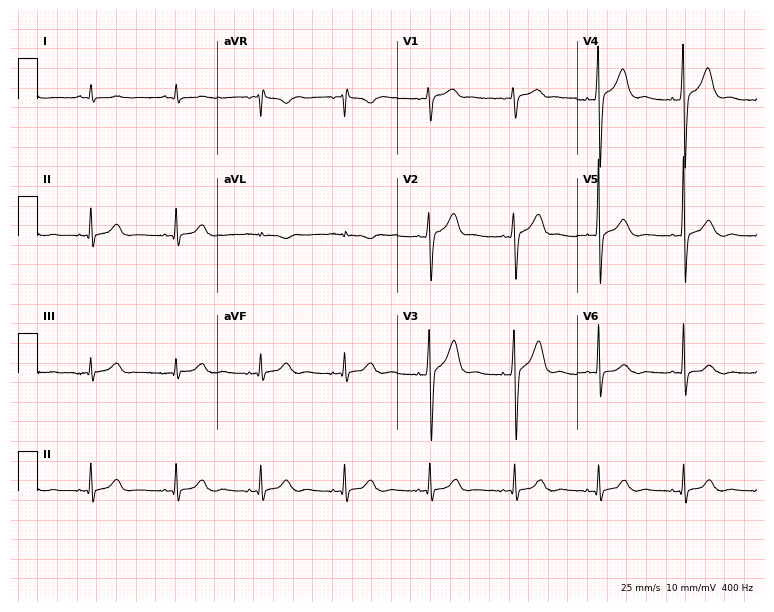
Resting 12-lead electrocardiogram. Patient: a 72-year-old man. None of these six findings is recorded: first-degree AV block, right bundle branch block (RBBB), left bundle branch block (LBBB), sinus bradycardia, atrial fibrillation (AF), sinus tachycardia.